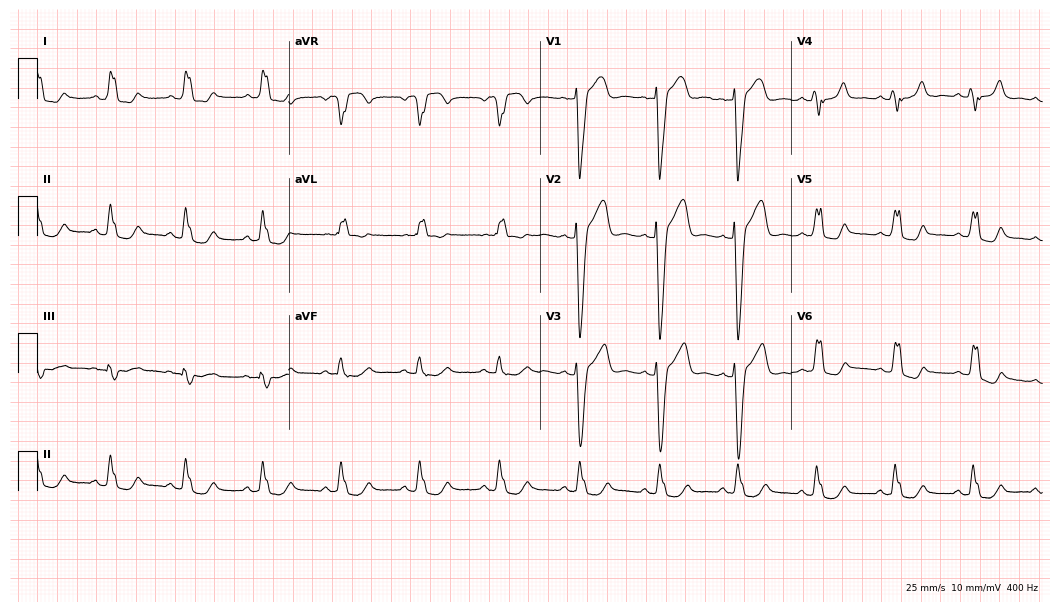
12-lead ECG from a woman, 70 years old. Findings include left bundle branch block (LBBB).